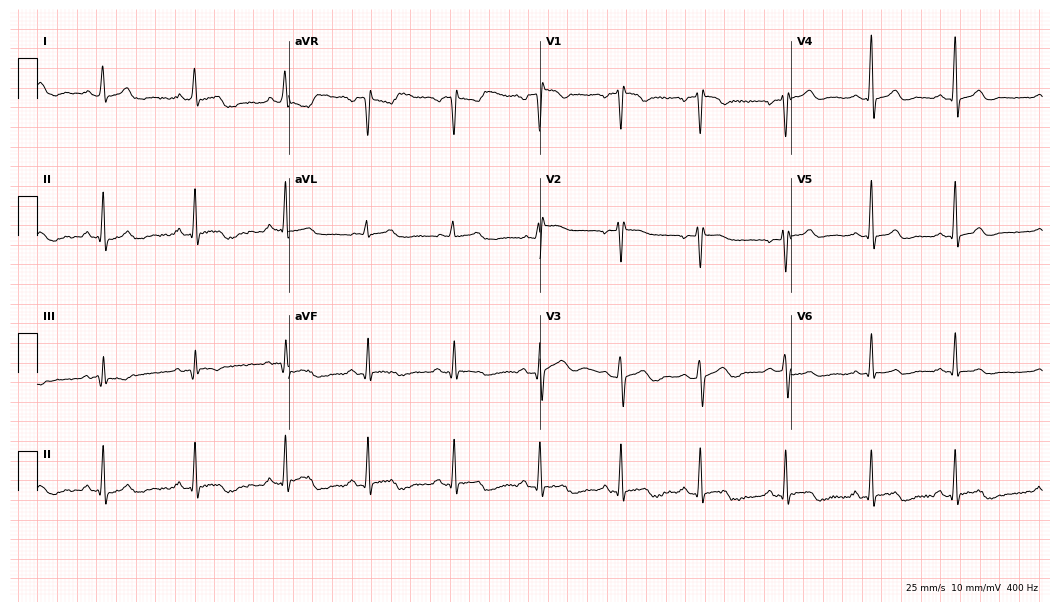
Resting 12-lead electrocardiogram (10.2-second recording at 400 Hz). Patient: a 32-year-old female. None of these six findings is recorded: first-degree AV block, right bundle branch block (RBBB), left bundle branch block (LBBB), sinus bradycardia, atrial fibrillation (AF), sinus tachycardia.